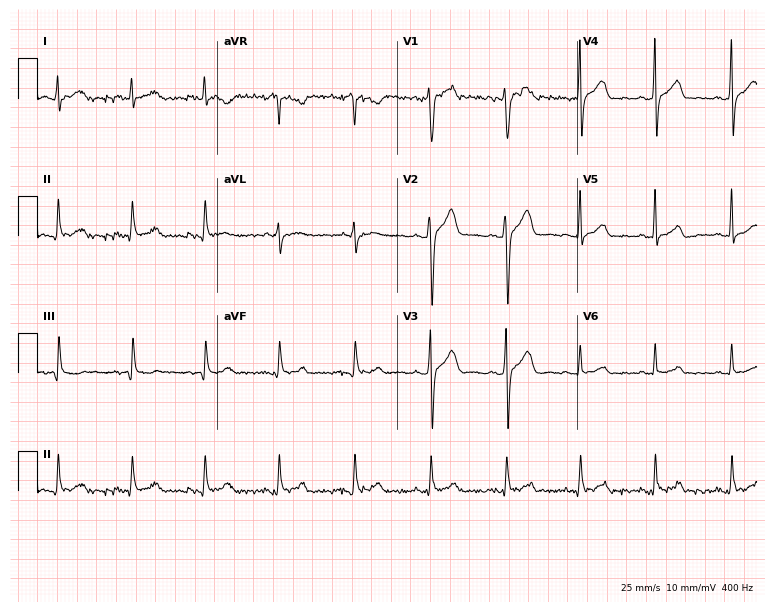
Resting 12-lead electrocardiogram (7.3-second recording at 400 Hz). Patient: a 41-year-old male. Read as a normal ECG.